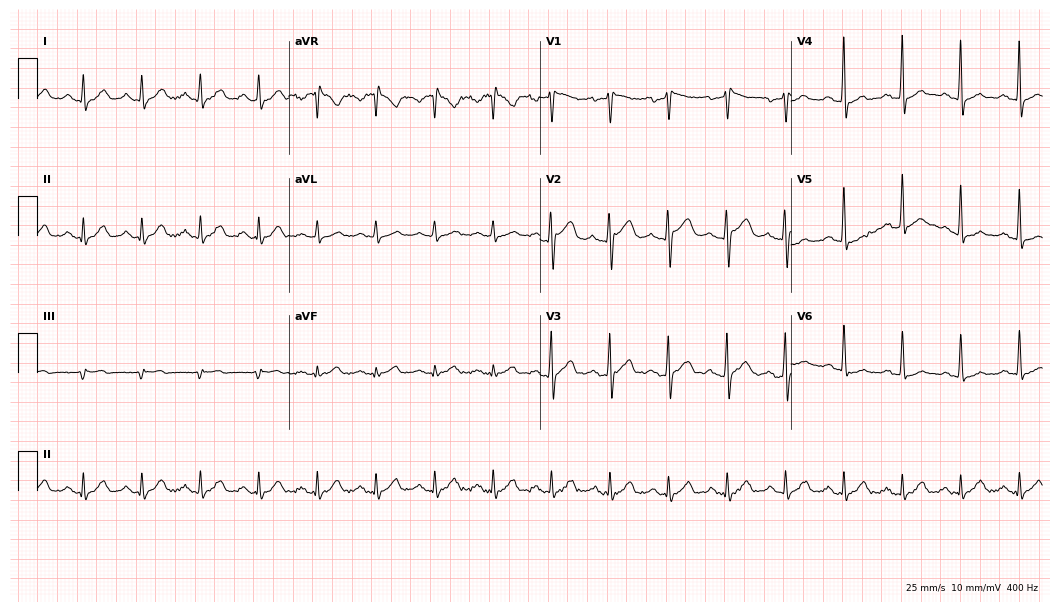
12-lead ECG (10.2-second recording at 400 Hz) from a 61-year-old man. Findings include sinus tachycardia (a sinus rate of 100 beats per minute or more).